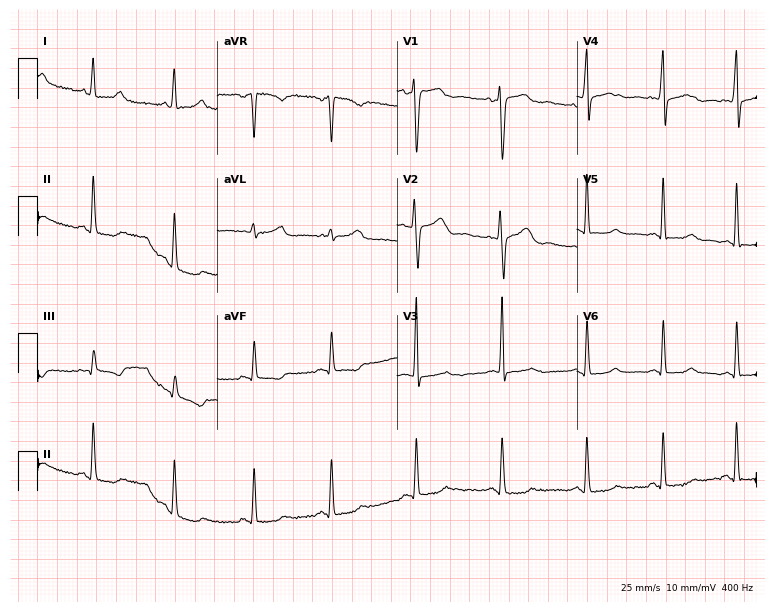
Standard 12-lead ECG recorded from a female patient, 32 years old (7.3-second recording at 400 Hz). None of these six findings is recorded: first-degree AV block, right bundle branch block, left bundle branch block, sinus bradycardia, atrial fibrillation, sinus tachycardia. Findings outside these six are not listed.